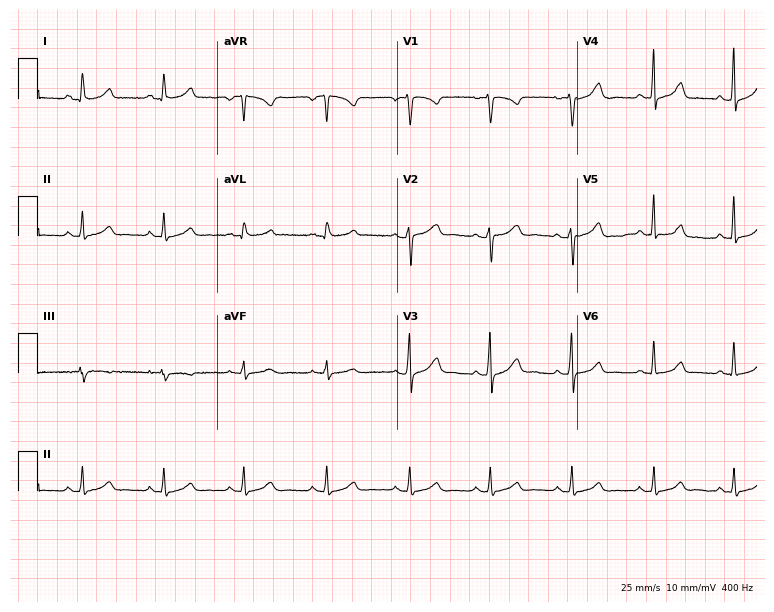
12-lead ECG from a 38-year-old woman. Screened for six findings — first-degree AV block, right bundle branch block, left bundle branch block, sinus bradycardia, atrial fibrillation, sinus tachycardia — none is recorded.